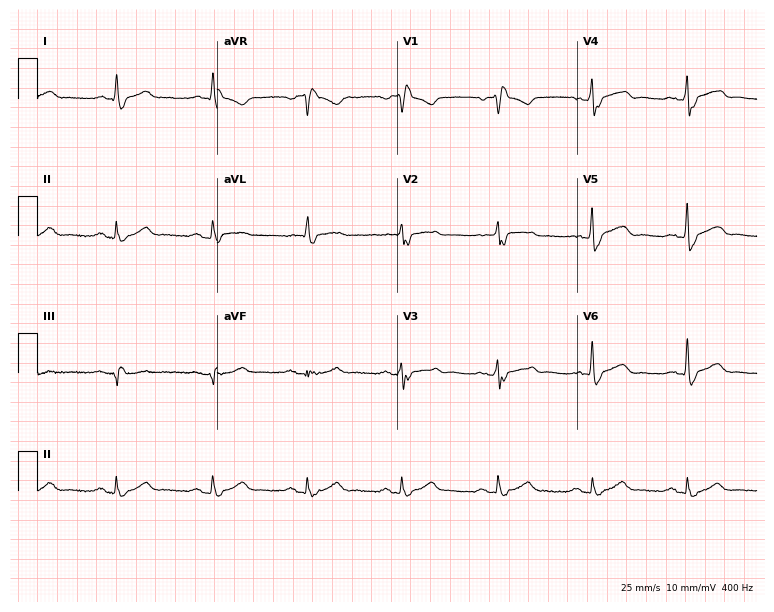
Standard 12-lead ECG recorded from a male patient, 75 years old. The tracing shows right bundle branch block (RBBB).